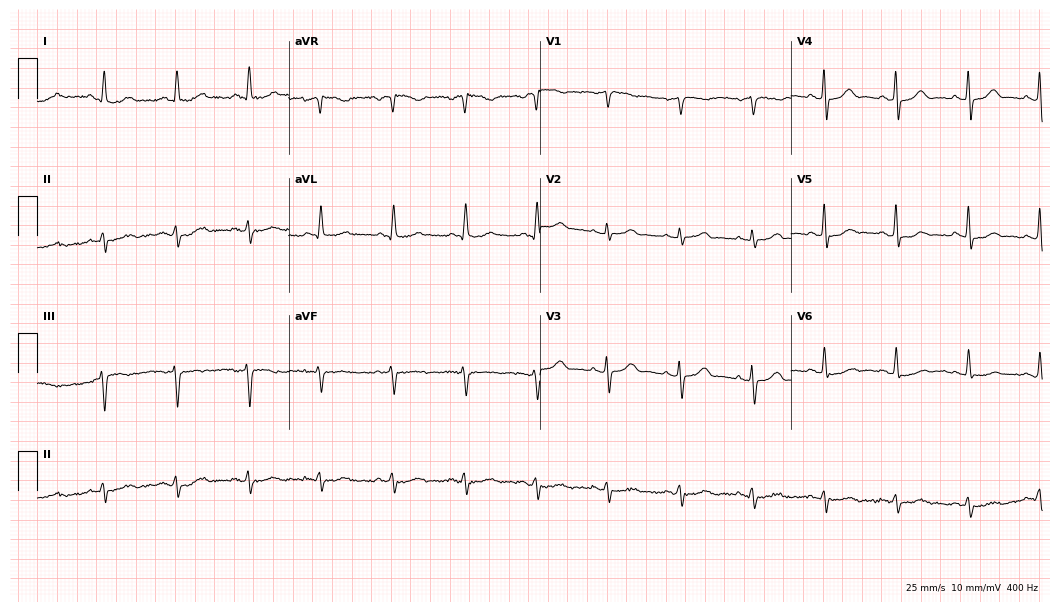
Standard 12-lead ECG recorded from a 62-year-old female patient. None of these six findings is recorded: first-degree AV block, right bundle branch block, left bundle branch block, sinus bradycardia, atrial fibrillation, sinus tachycardia.